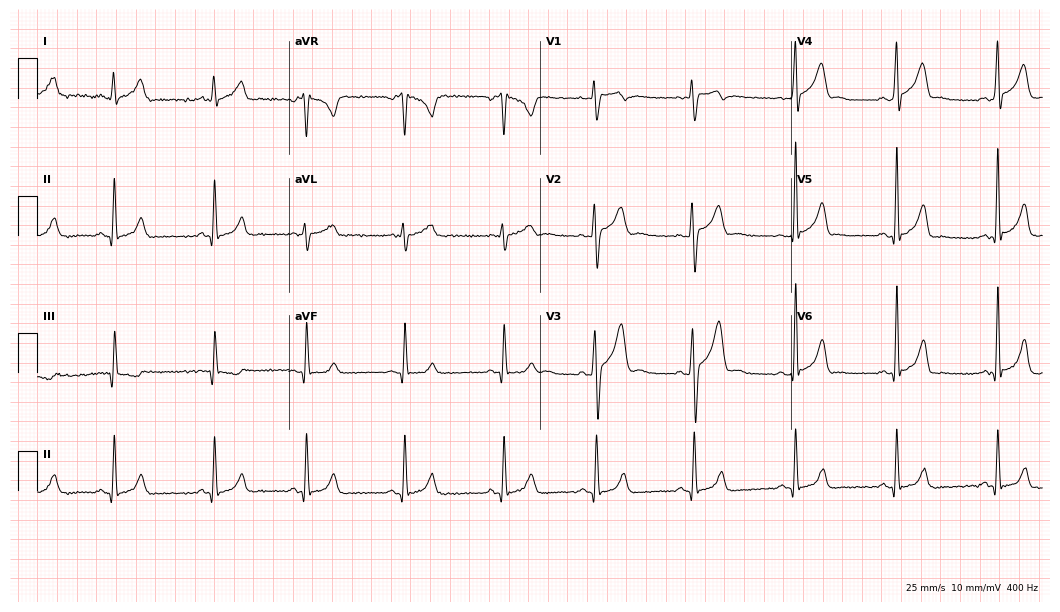
Electrocardiogram (10.2-second recording at 400 Hz), an 18-year-old male patient. Overall reading on record: normal ECG.